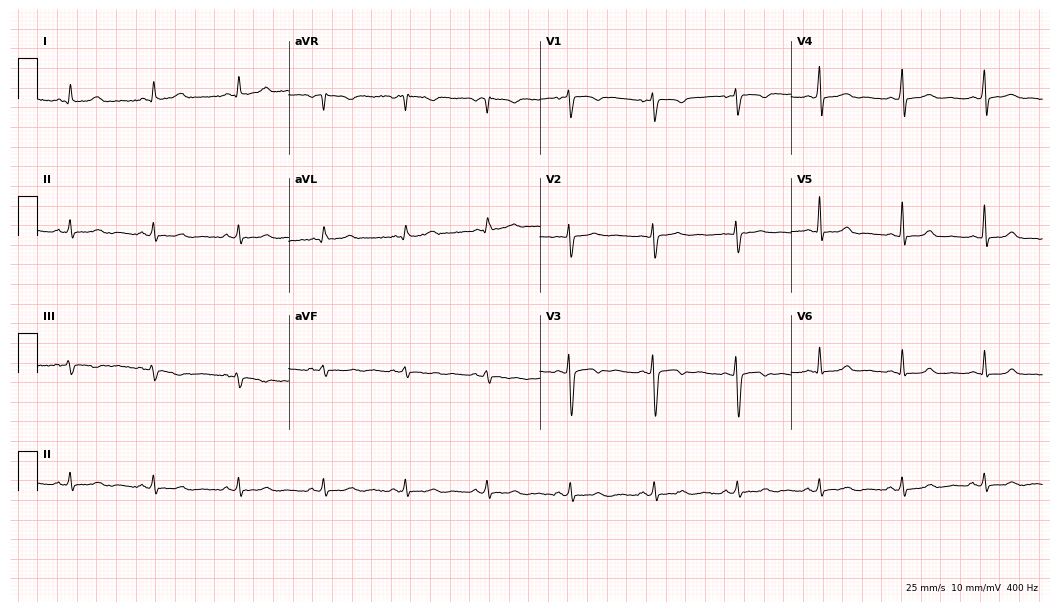
Resting 12-lead electrocardiogram (10.2-second recording at 400 Hz). Patient: a woman, 45 years old. Read as a normal ECG.